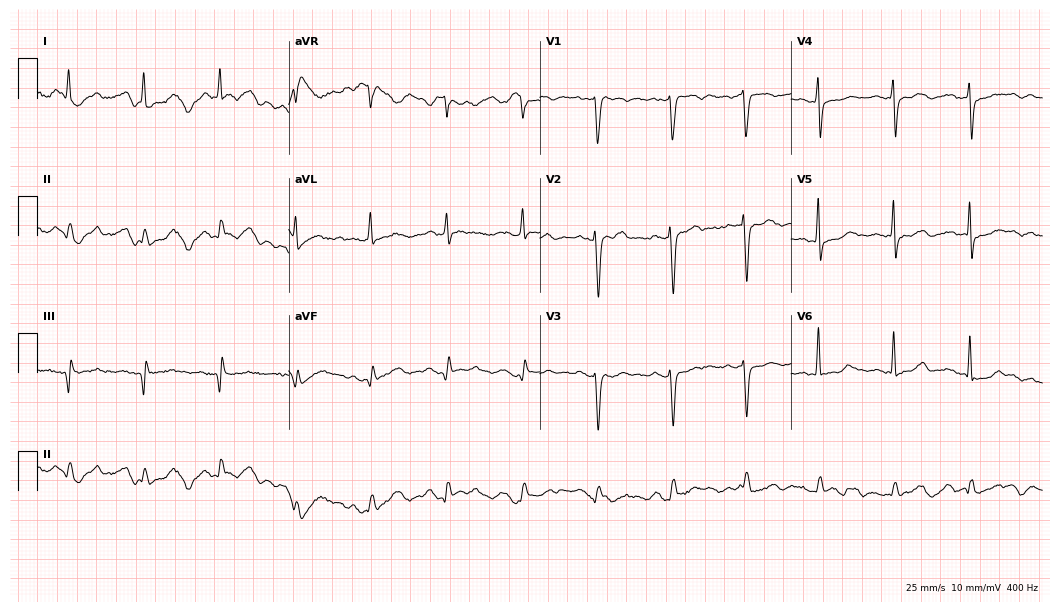
Electrocardiogram, a man, 75 years old. Of the six screened findings (first-degree AV block, right bundle branch block (RBBB), left bundle branch block (LBBB), sinus bradycardia, atrial fibrillation (AF), sinus tachycardia), none is recorded.